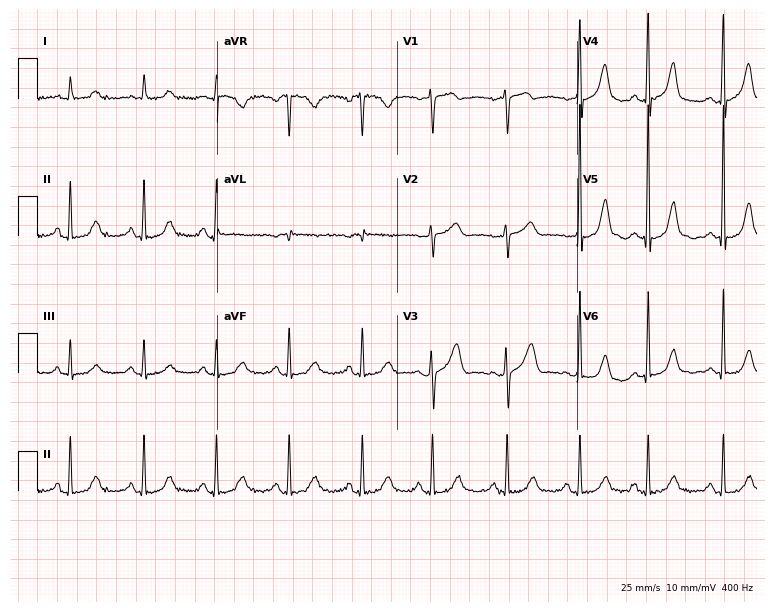
ECG (7.3-second recording at 400 Hz) — a 77-year-old female. Labelled as a normal ECG.